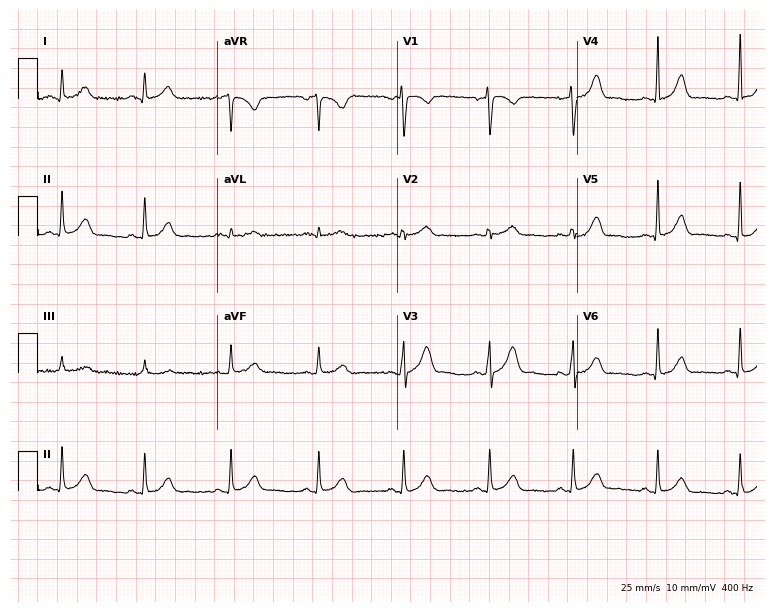
12-lead ECG from a 40-year-old woman (7.3-second recording at 400 Hz). Recorded interpretation: within normal limits.